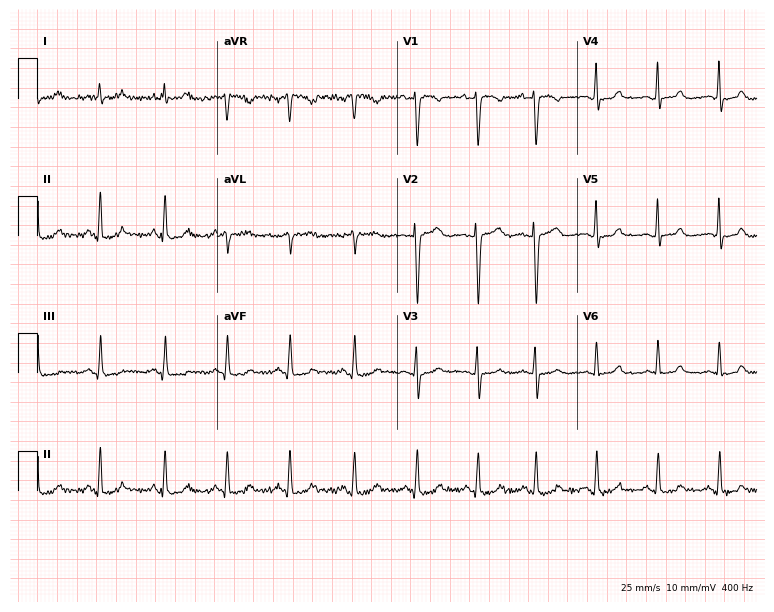
Electrocardiogram, a female, 31 years old. Of the six screened findings (first-degree AV block, right bundle branch block (RBBB), left bundle branch block (LBBB), sinus bradycardia, atrial fibrillation (AF), sinus tachycardia), none is recorded. Findings outside these six are not listed.